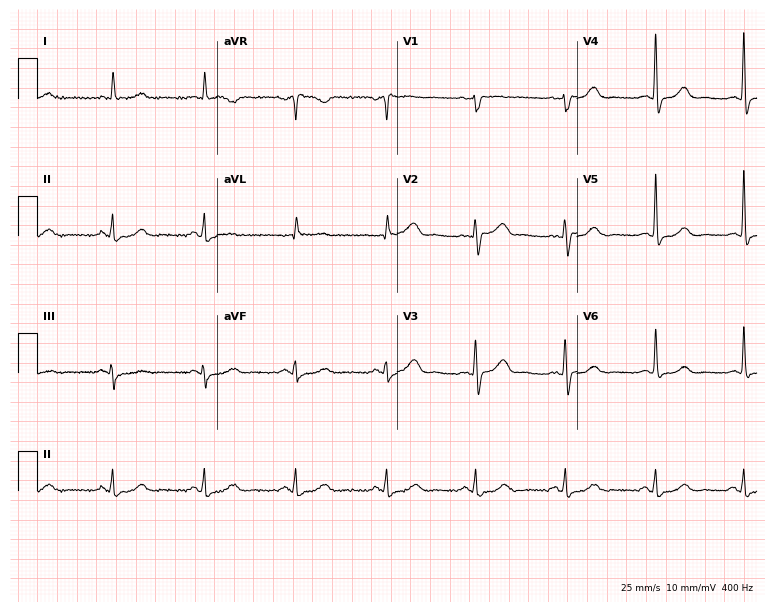
ECG — a female patient, 65 years old. Screened for six findings — first-degree AV block, right bundle branch block, left bundle branch block, sinus bradycardia, atrial fibrillation, sinus tachycardia — none is recorded.